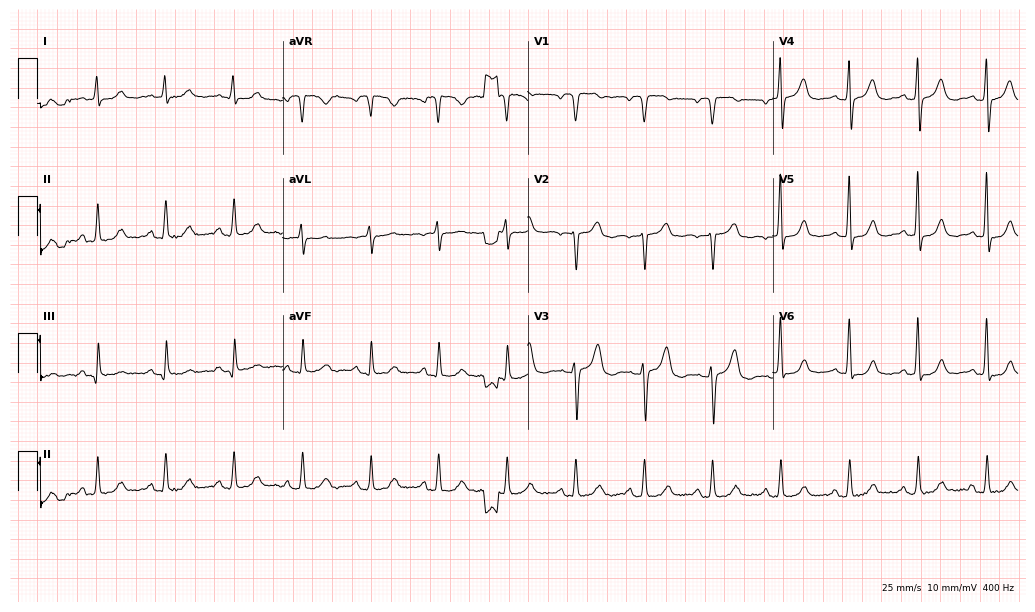
12-lead ECG from a woman, 75 years old (10-second recording at 400 Hz). Recorded interpretation: within normal limits.